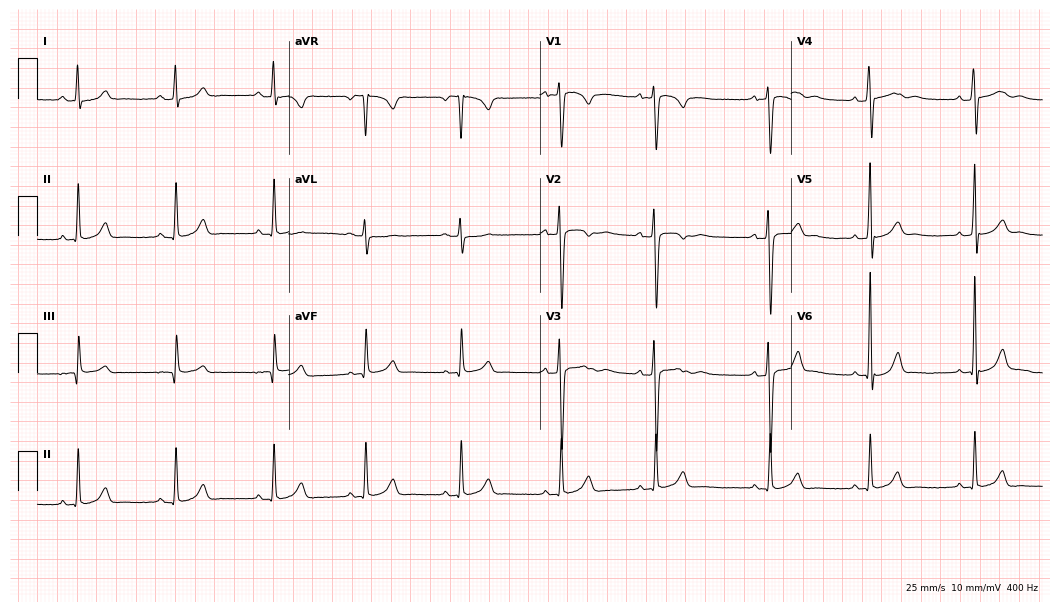
Electrocardiogram, a woman, 18 years old. Overall reading on record: normal ECG.